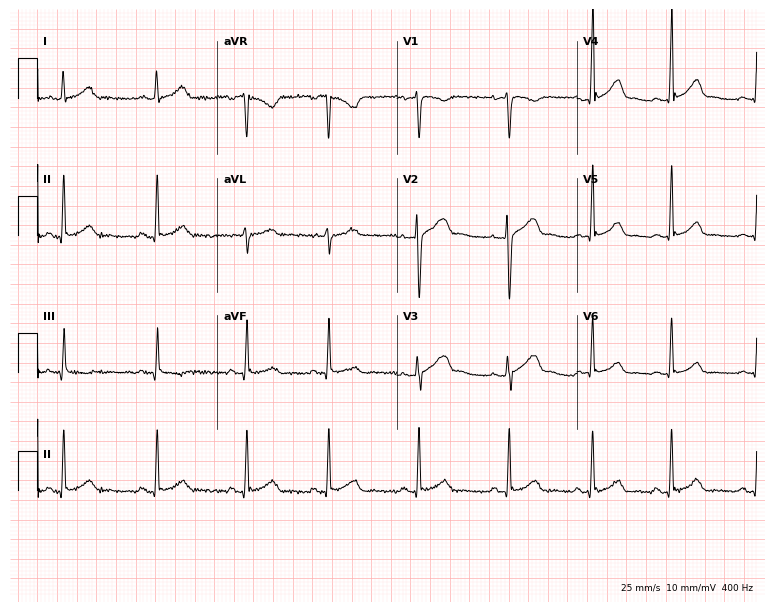
ECG — a female, 24 years old. Labelled as a normal ECG.